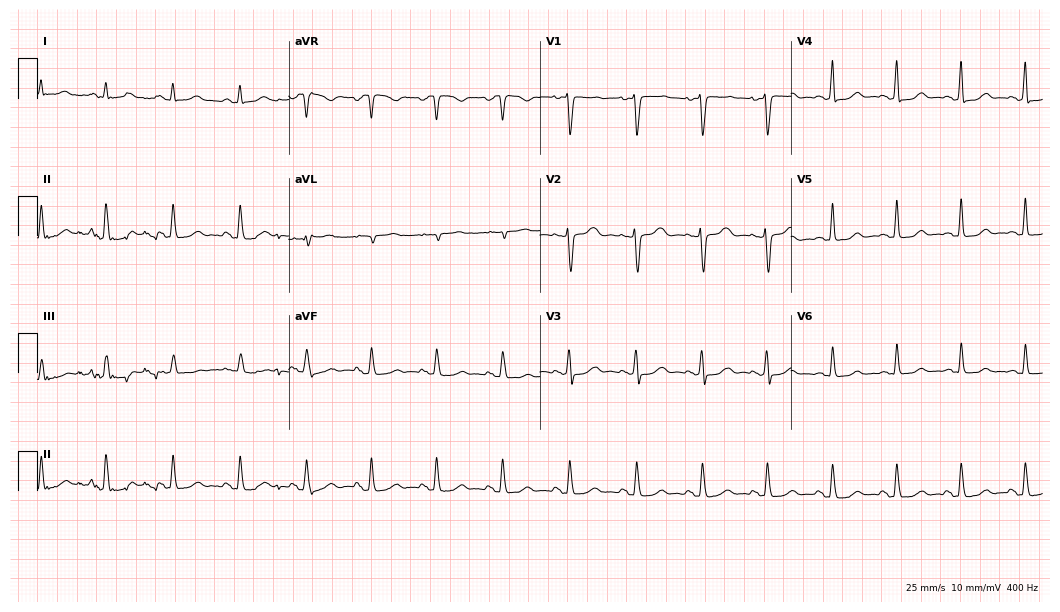
12-lead ECG from a female patient, 36 years old. No first-degree AV block, right bundle branch block (RBBB), left bundle branch block (LBBB), sinus bradycardia, atrial fibrillation (AF) or sinus tachycardia recorded for this tracing.